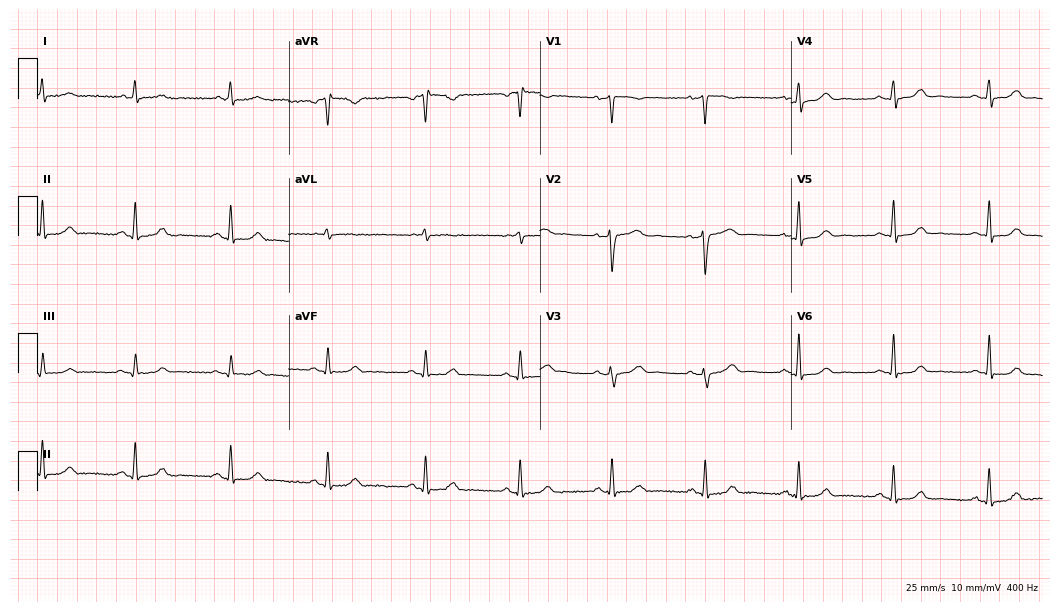
Resting 12-lead electrocardiogram (10.2-second recording at 400 Hz). Patient: a female, 42 years old. Read as a normal ECG.